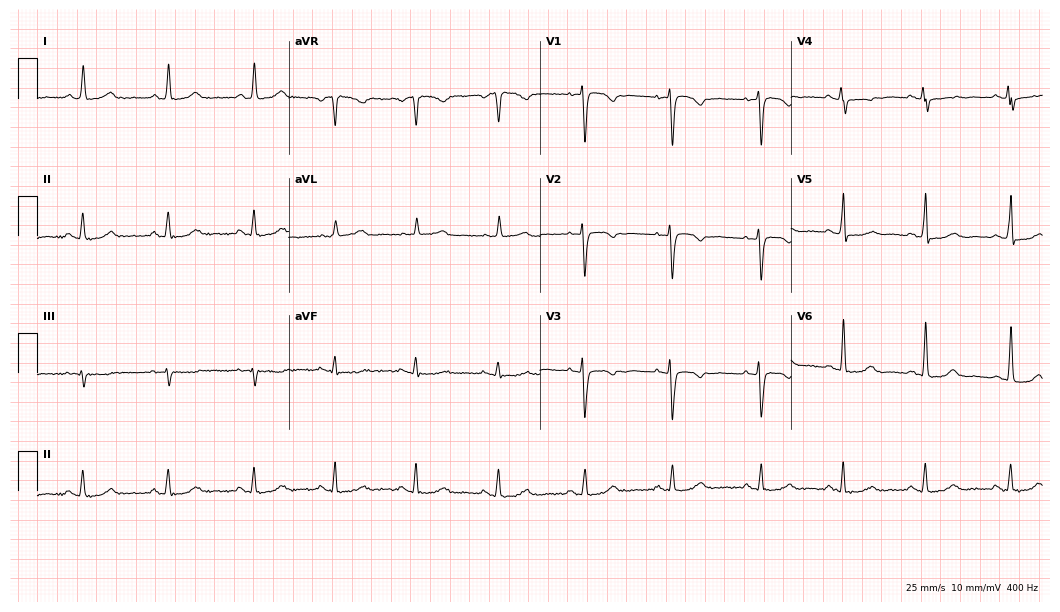
12-lead ECG from a 55-year-old woman (10.2-second recording at 400 Hz). No first-degree AV block, right bundle branch block, left bundle branch block, sinus bradycardia, atrial fibrillation or sinus tachycardia recorded for this tracing. Other findings, if any, are not listed.